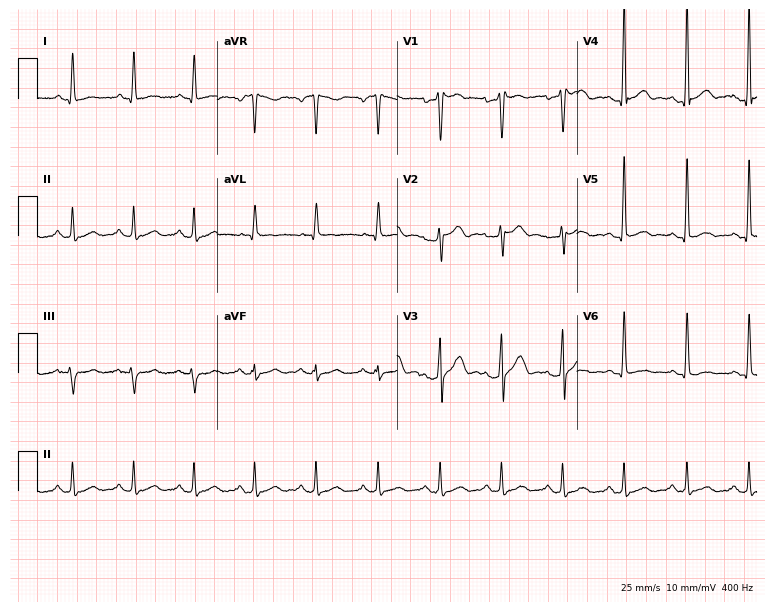
12-lead ECG from a male, 50 years old (7.3-second recording at 400 Hz). Recorded interpretation: within normal limits.